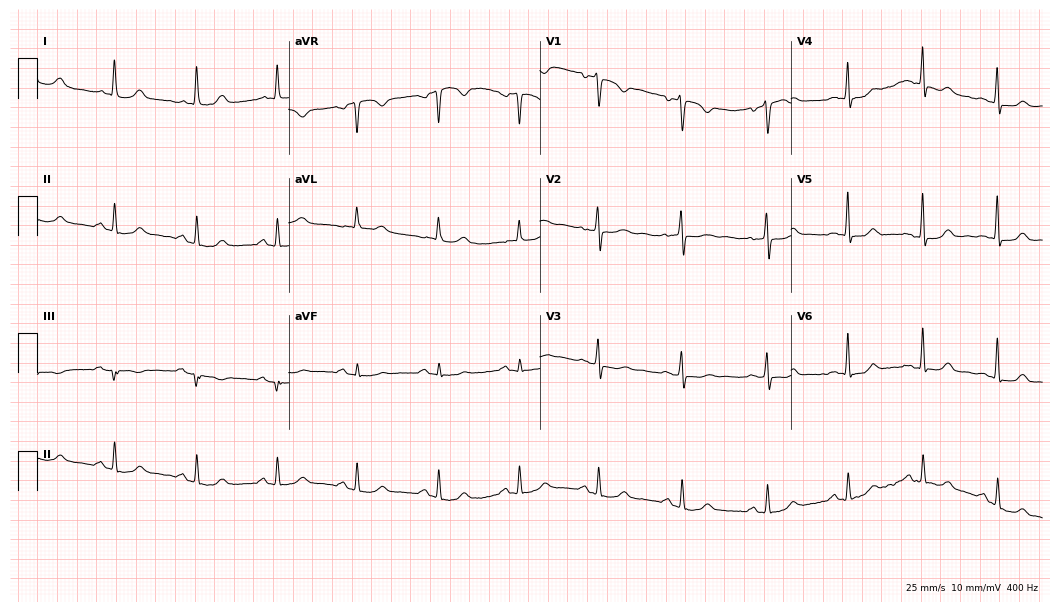
ECG (10.2-second recording at 400 Hz) — a female patient, 38 years old. Screened for six findings — first-degree AV block, right bundle branch block, left bundle branch block, sinus bradycardia, atrial fibrillation, sinus tachycardia — none is recorded. Findings outside these six are not listed.